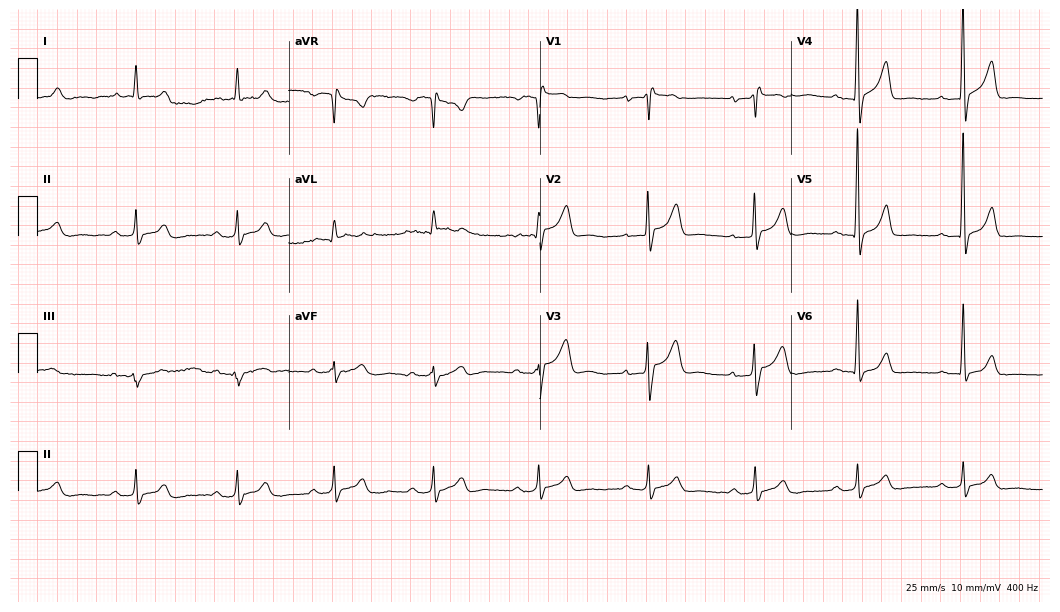
12-lead ECG from a man, 67 years old. Shows first-degree AV block.